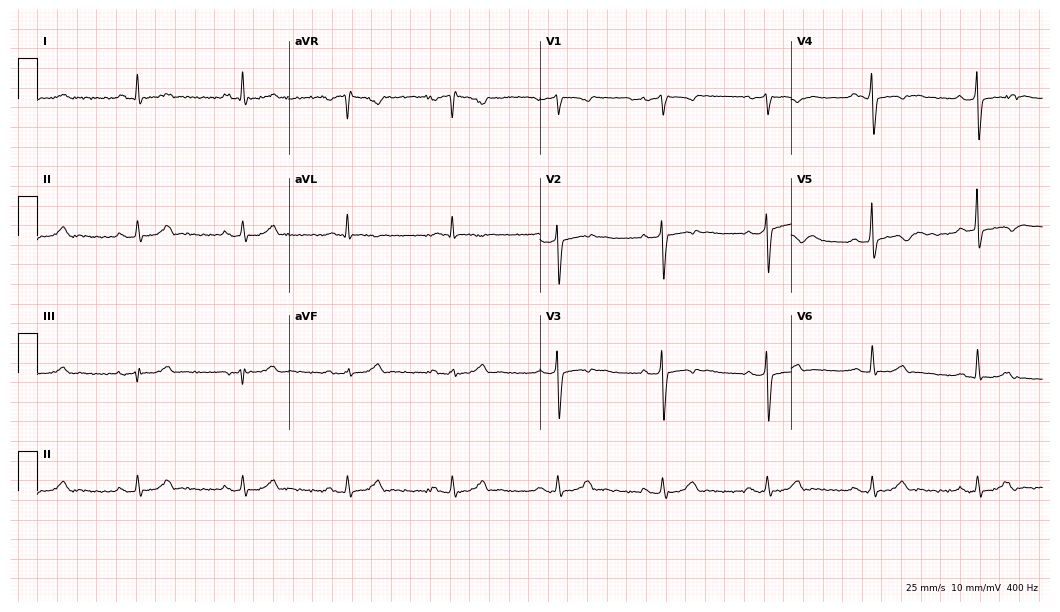
Electrocardiogram, a 77-year-old male. Of the six screened findings (first-degree AV block, right bundle branch block, left bundle branch block, sinus bradycardia, atrial fibrillation, sinus tachycardia), none is recorded. Findings outside these six are not listed.